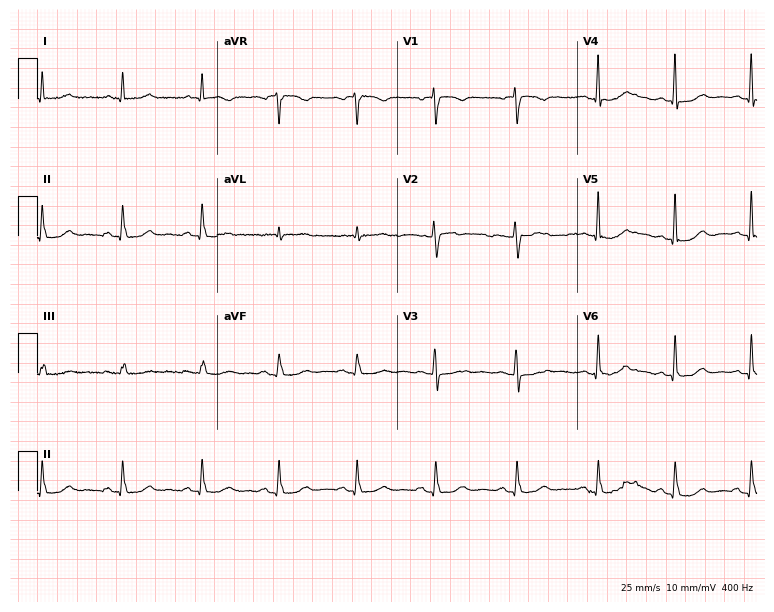
Resting 12-lead electrocardiogram. Patient: a woman, 63 years old. None of these six findings is recorded: first-degree AV block, right bundle branch block (RBBB), left bundle branch block (LBBB), sinus bradycardia, atrial fibrillation (AF), sinus tachycardia.